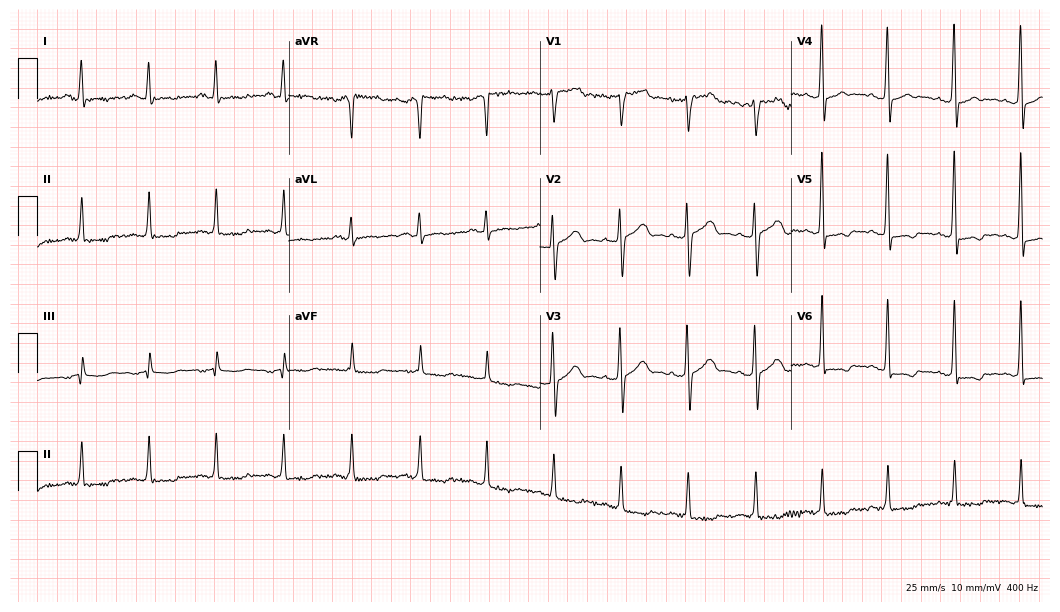
Resting 12-lead electrocardiogram (10.2-second recording at 400 Hz). Patient: a 46-year-old man. None of these six findings is recorded: first-degree AV block, right bundle branch block, left bundle branch block, sinus bradycardia, atrial fibrillation, sinus tachycardia.